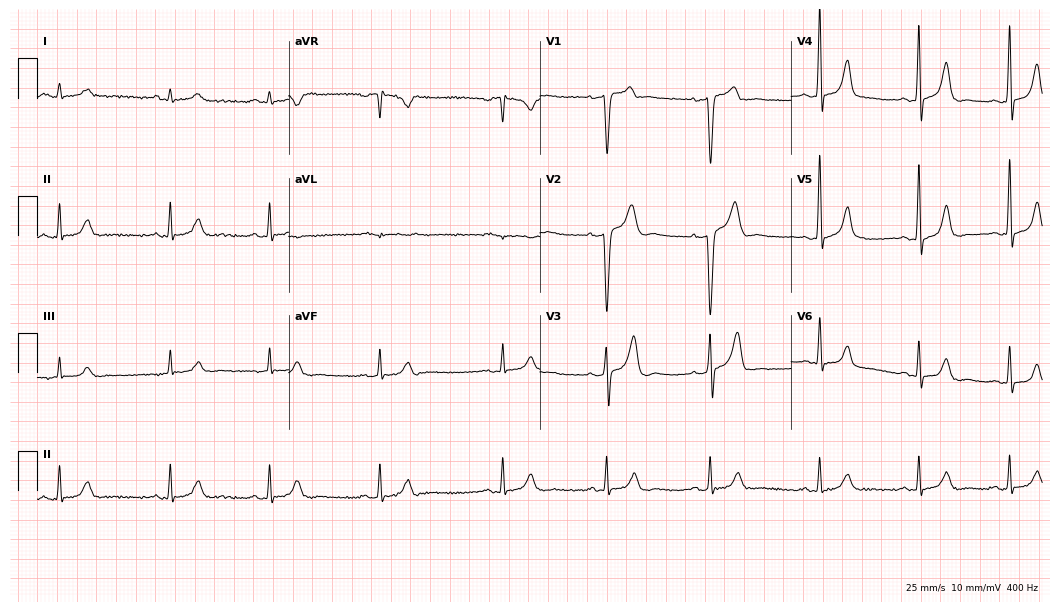
Standard 12-lead ECG recorded from a man, 30 years old. Read as a normal ECG.